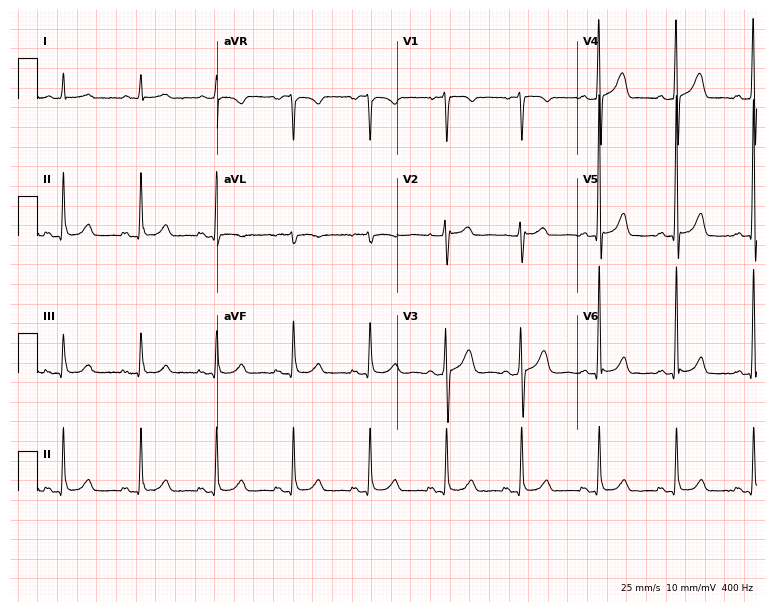
Resting 12-lead electrocardiogram. Patient: a 45-year-old man. Read as a normal ECG.